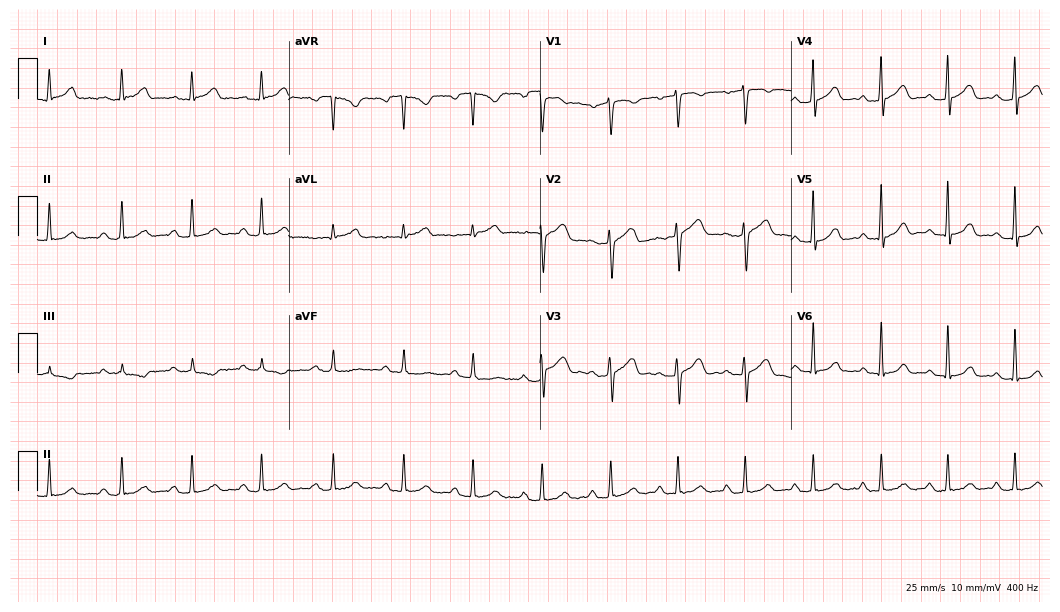
ECG (10.2-second recording at 400 Hz) — a female patient, 41 years old. Labelled as a normal ECG.